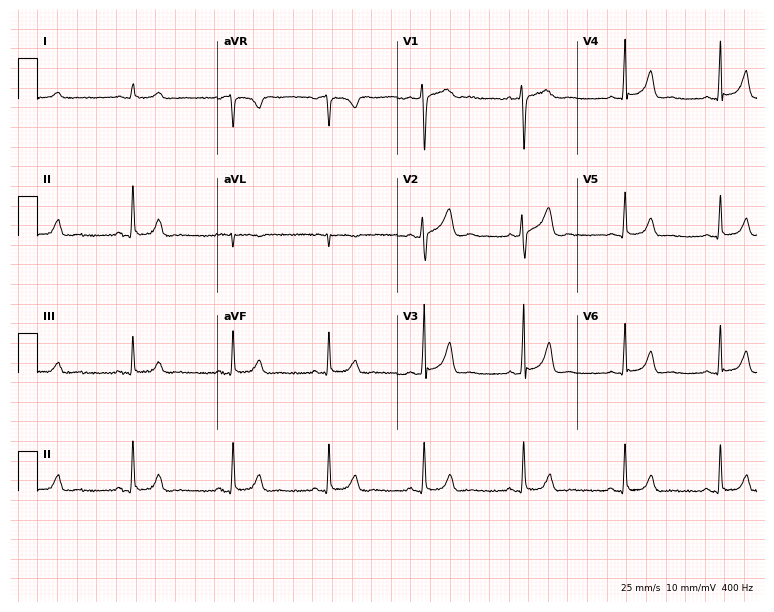
Resting 12-lead electrocardiogram (7.3-second recording at 400 Hz). Patient: a 21-year-old female. Read as a normal ECG.